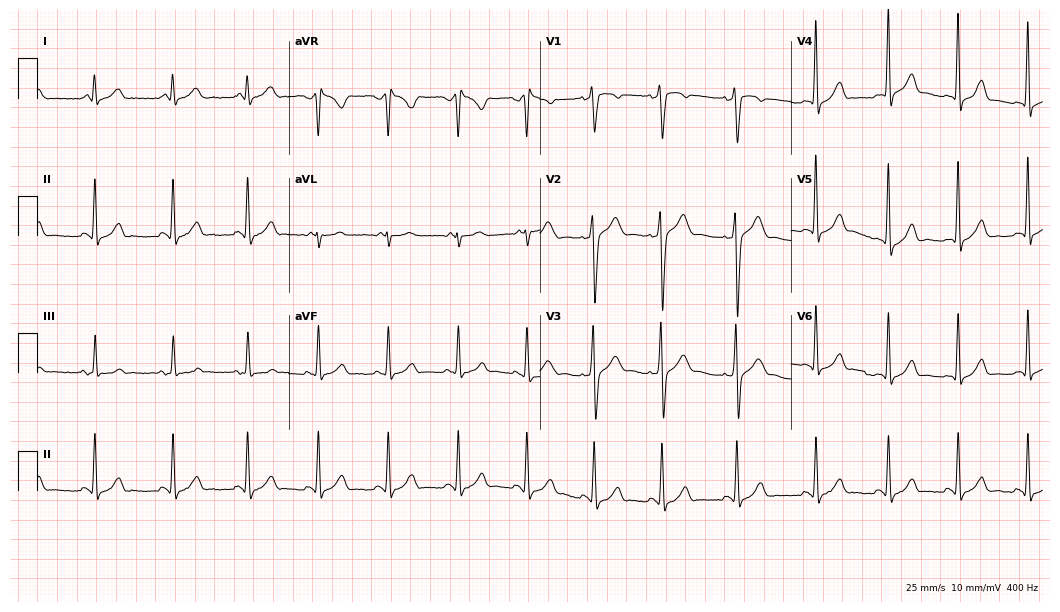
12-lead ECG from a 34-year-old male patient (10.2-second recording at 400 Hz). No first-degree AV block, right bundle branch block (RBBB), left bundle branch block (LBBB), sinus bradycardia, atrial fibrillation (AF) or sinus tachycardia recorded for this tracing. Only these six findings were labelled.